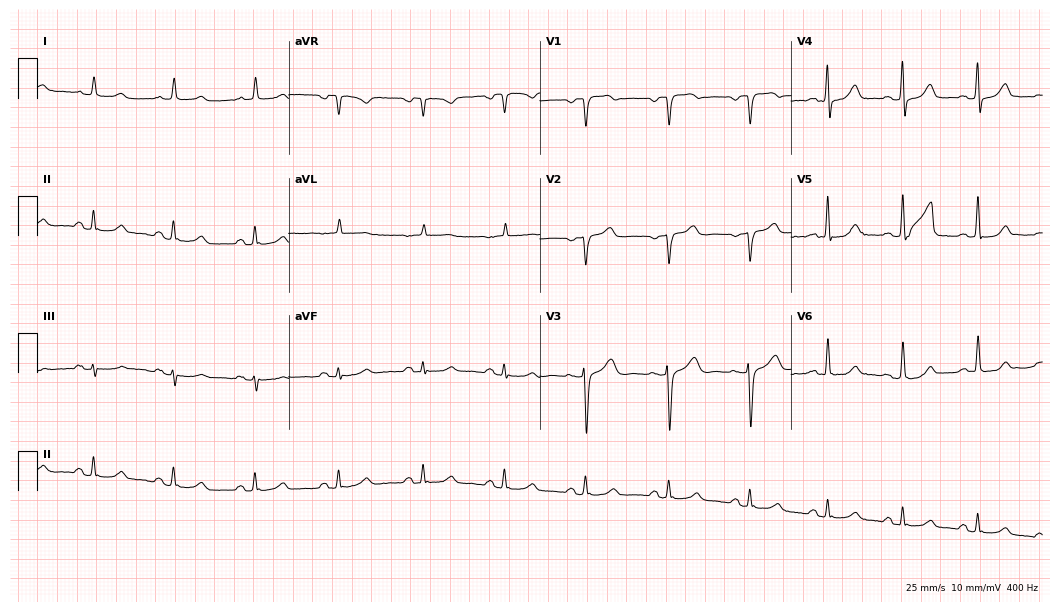
Standard 12-lead ECG recorded from a female, 55 years old (10.2-second recording at 400 Hz). None of these six findings is recorded: first-degree AV block, right bundle branch block (RBBB), left bundle branch block (LBBB), sinus bradycardia, atrial fibrillation (AF), sinus tachycardia. Other findings, if any, are not listed.